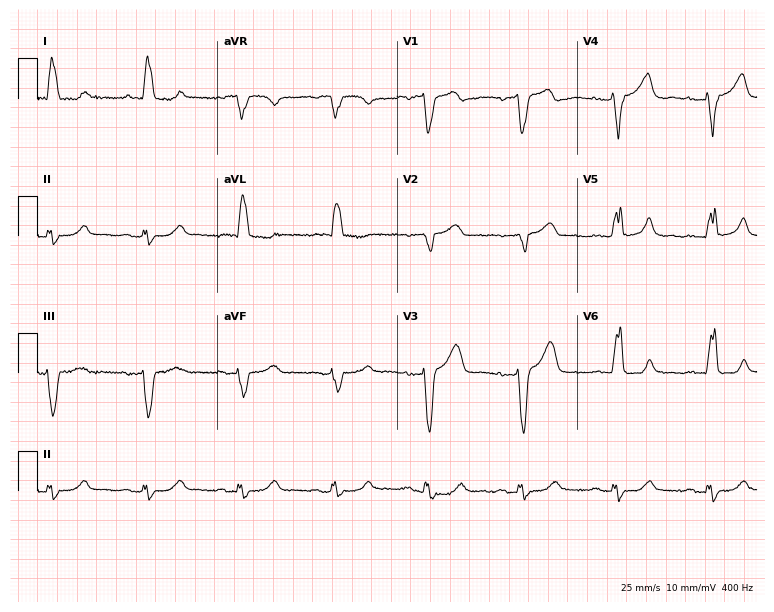
Resting 12-lead electrocardiogram (7.3-second recording at 400 Hz). Patient: a woman, 82 years old. The tracing shows left bundle branch block.